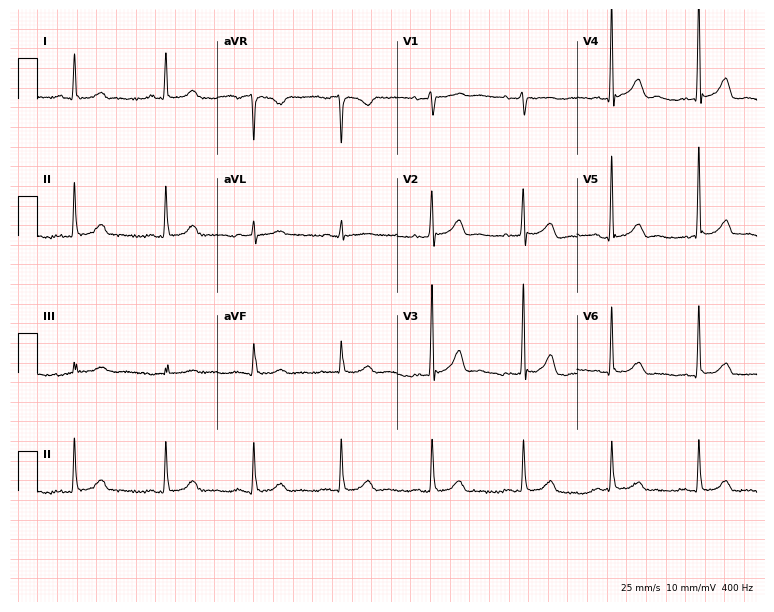
12-lead ECG from a woman, 54 years old (7.3-second recording at 400 Hz). No first-degree AV block, right bundle branch block, left bundle branch block, sinus bradycardia, atrial fibrillation or sinus tachycardia recorded for this tracing. Findings outside these six are not listed.